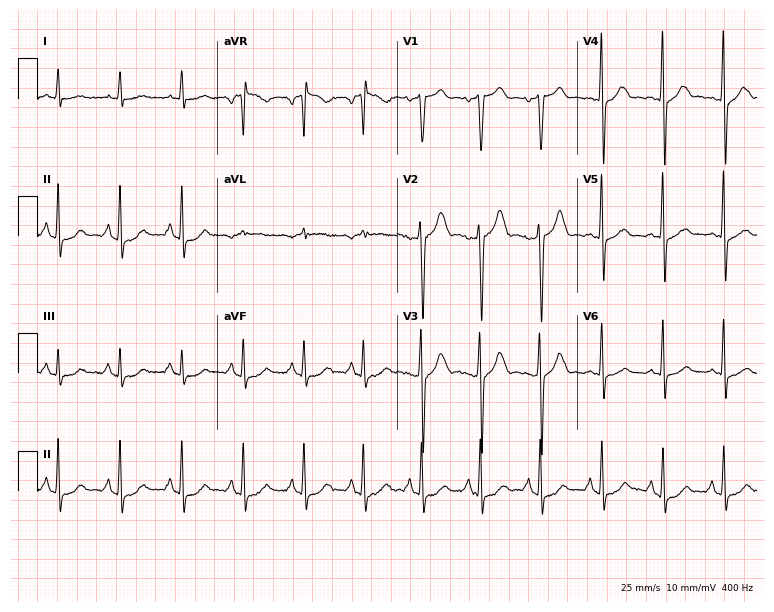
Electrocardiogram (7.3-second recording at 400 Hz), a male, 48 years old. Of the six screened findings (first-degree AV block, right bundle branch block, left bundle branch block, sinus bradycardia, atrial fibrillation, sinus tachycardia), none is recorded.